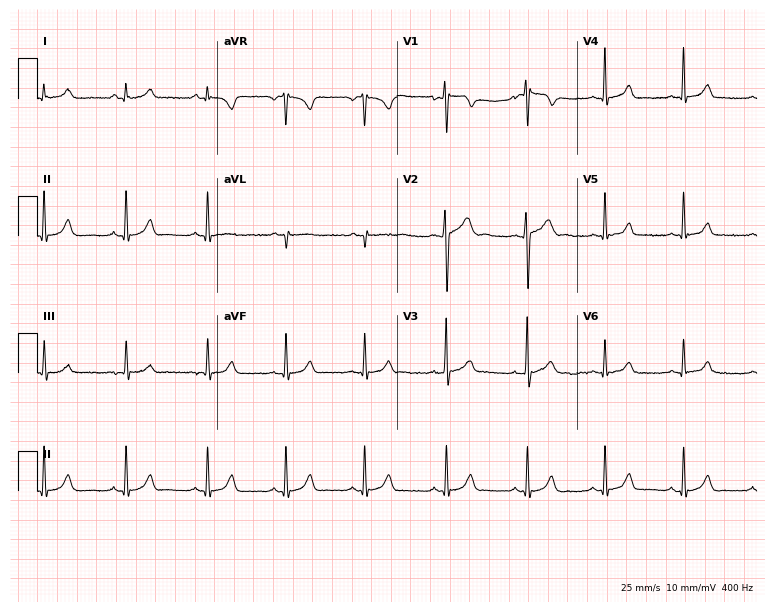
Standard 12-lead ECG recorded from a male patient, 20 years old (7.3-second recording at 400 Hz). Read as a normal ECG.